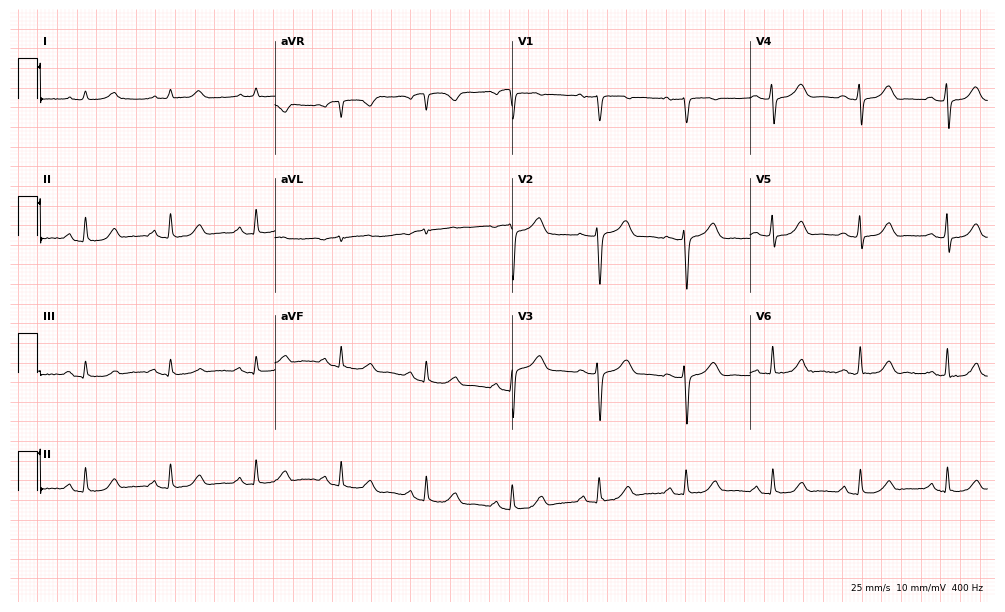
Standard 12-lead ECG recorded from a woman, 63 years old. Read as a normal ECG.